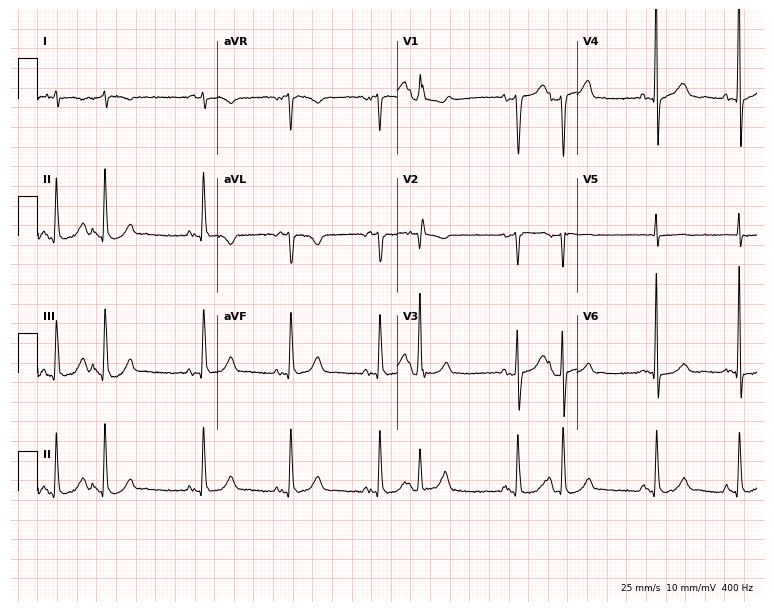
Resting 12-lead electrocardiogram. Patient: a male, 68 years old. None of these six findings is recorded: first-degree AV block, right bundle branch block, left bundle branch block, sinus bradycardia, atrial fibrillation, sinus tachycardia.